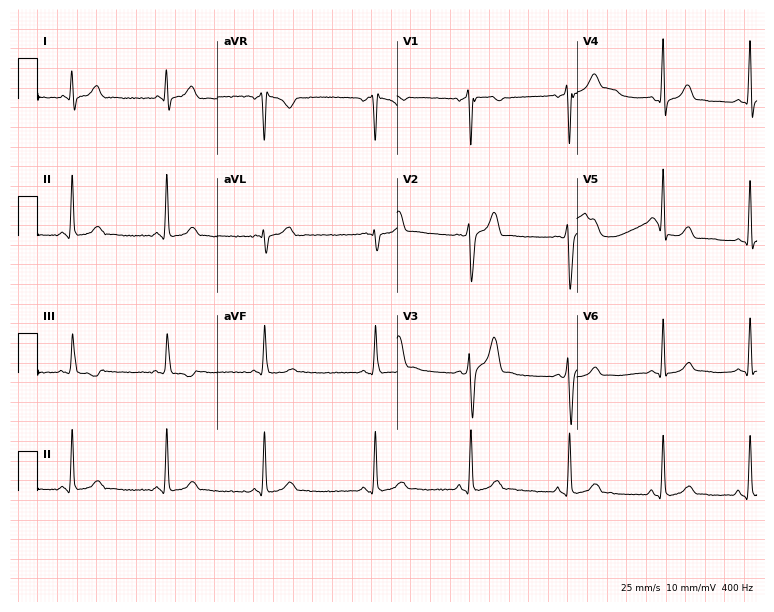
Standard 12-lead ECG recorded from a male, 25 years old. None of these six findings is recorded: first-degree AV block, right bundle branch block, left bundle branch block, sinus bradycardia, atrial fibrillation, sinus tachycardia. Other findings, if any, are not listed.